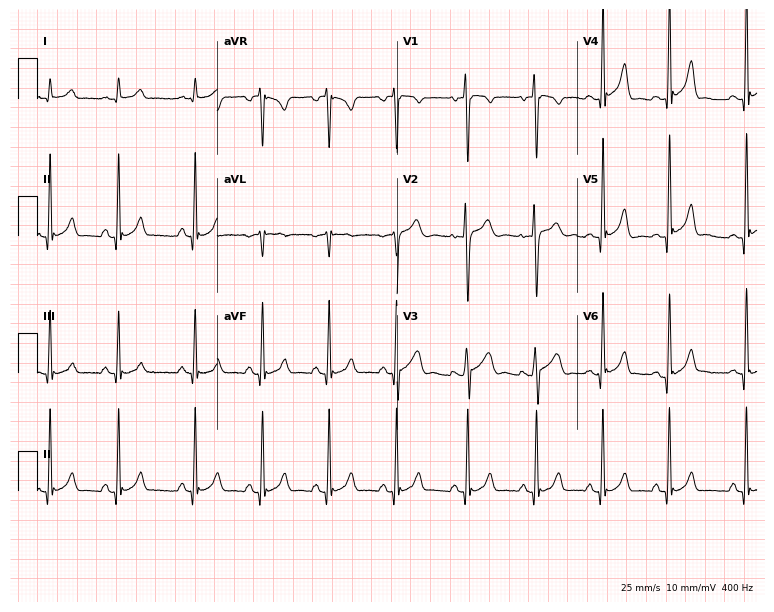
Resting 12-lead electrocardiogram. Patient: a male, 18 years old. Read as a normal ECG.